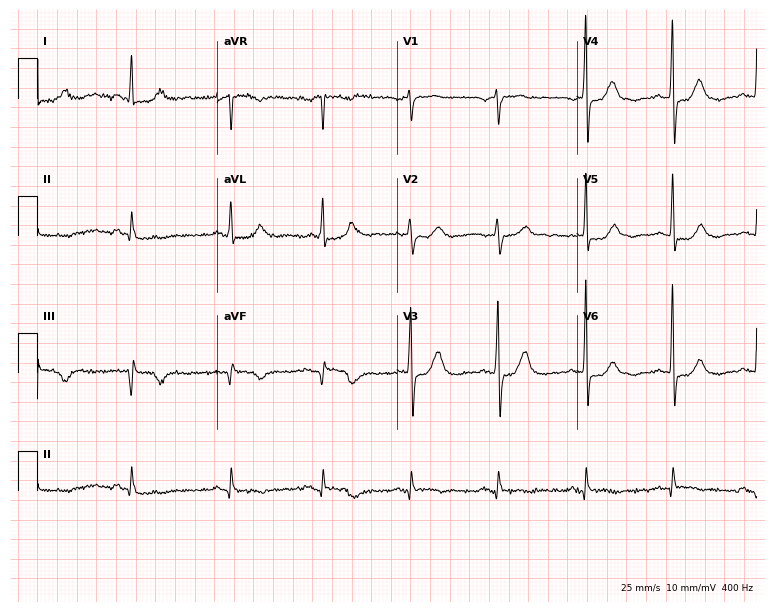
12-lead ECG from a male patient, 66 years old (7.3-second recording at 400 Hz). No first-degree AV block, right bundle branch block, left bundle branch block, sinus bradycardia, atrial fibrillation or sinus tachycardia recorded for this tracing.